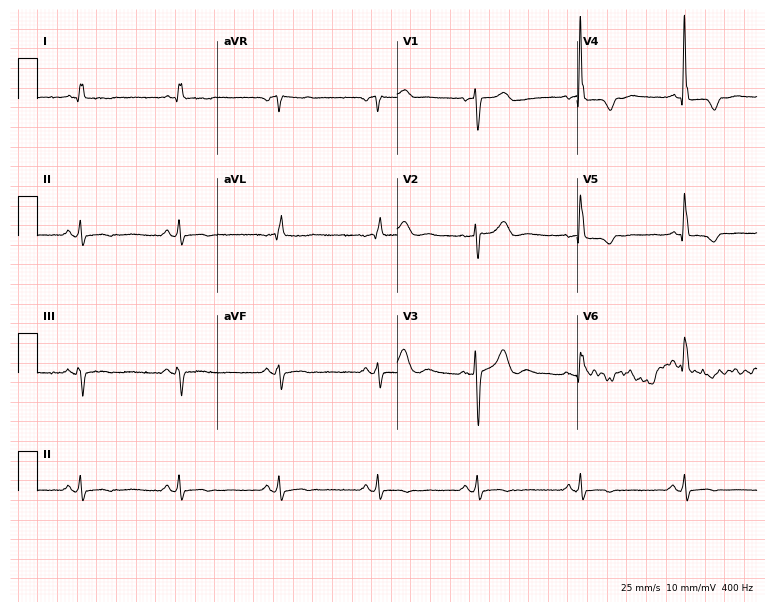
ECG (7.3-second recording at 400 Hz) — a female, 74 years old. Screened for six findings — first-degree AV block, right bundle branch block, left bundle branch block, sinus bradycardia, atrial fibrillation, sinus tachycardia — none is recorded.